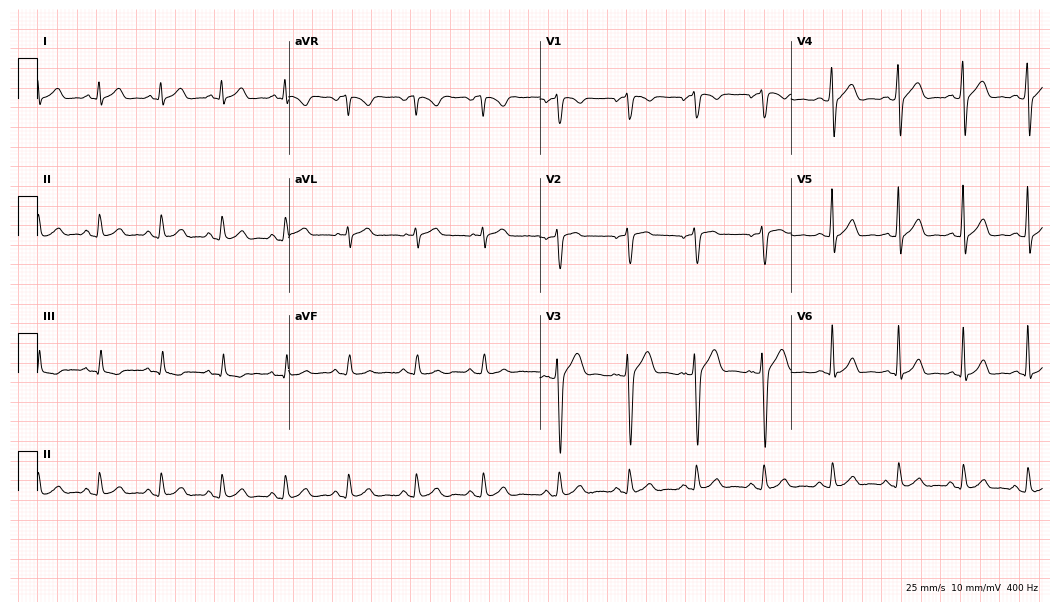
Standard 12-lead ECG recorded from a 24-year-old male (10.2-second recording at 400 Hz). Read as a normal ECG.